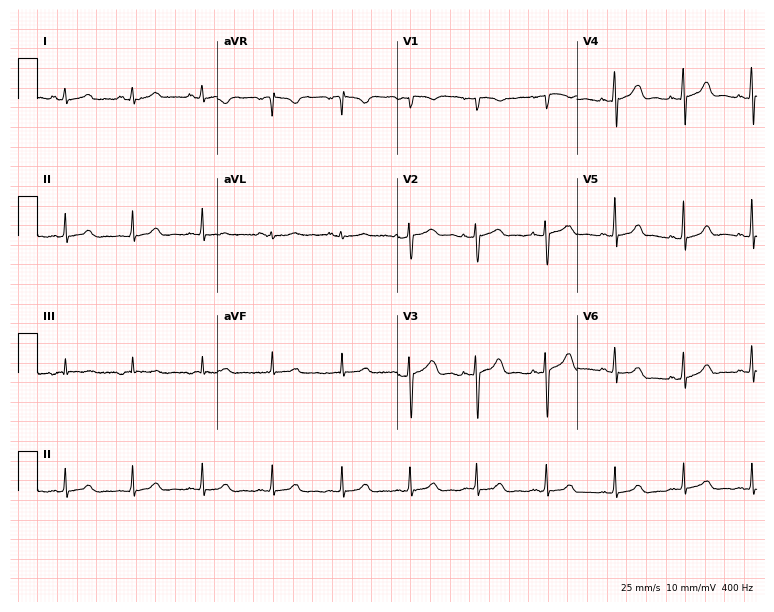
12-lead ECG from a 29-year-old woman (7.3-second recording at 400 Hz). No first-degree AV block, right bundle branch block, left bundle branch block, sinus bradycardia, atrial fibrillation or sinus tachycardia recorded for this tracing. Other findings, if any, are not listed.